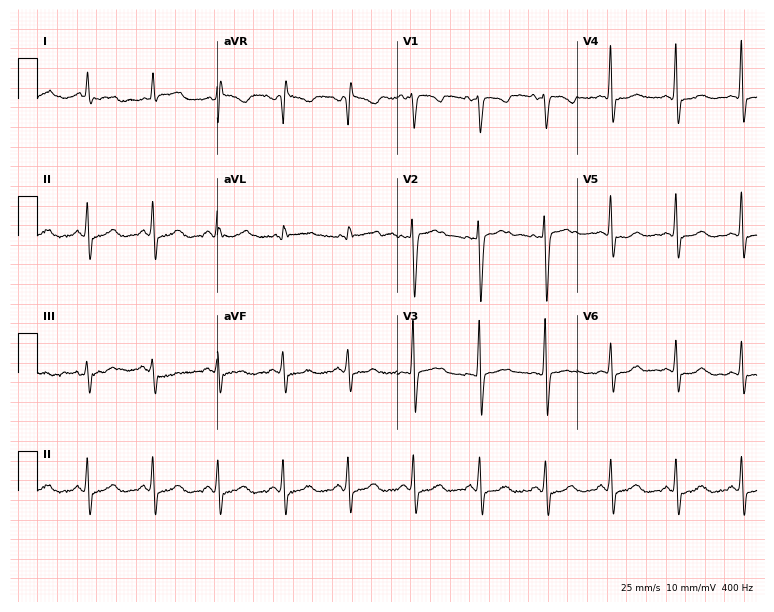
12-lead ECG from a 36-year-old female patient. Screened for six findings — first-degree AV block, right bundle branch block (RBBB), left bundle branch block (LBBB), sinus bradycardia, atrial fibrillation (AF), sinus tachycardia — none is recorded. Other findings, if any, are not listed.